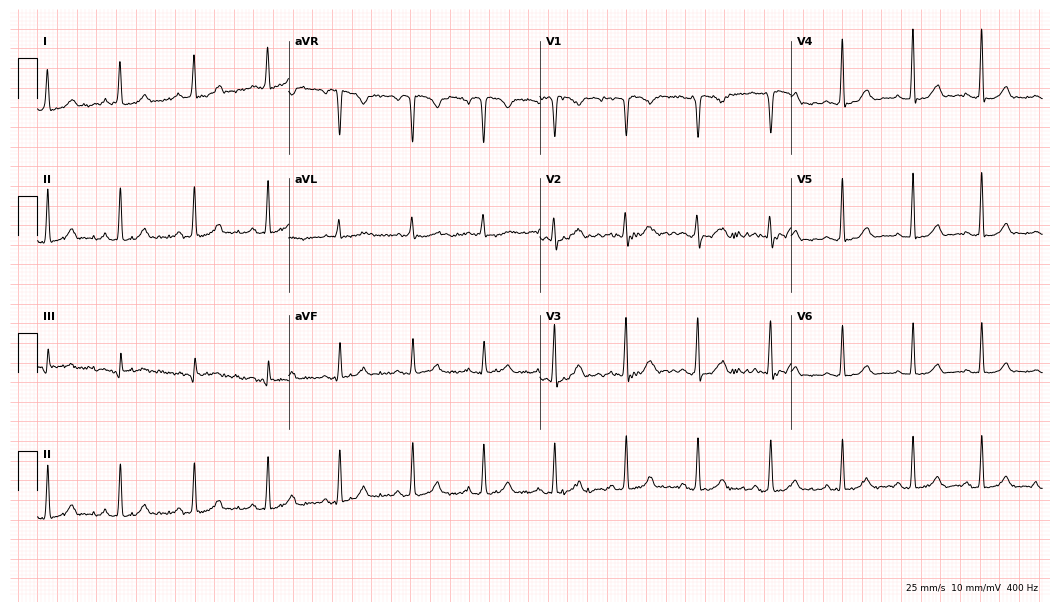
Standard 12-lead ECG recorded from a 27-year-old woman (10.2-second recording at 400 Hz). Read as a normal ECG.